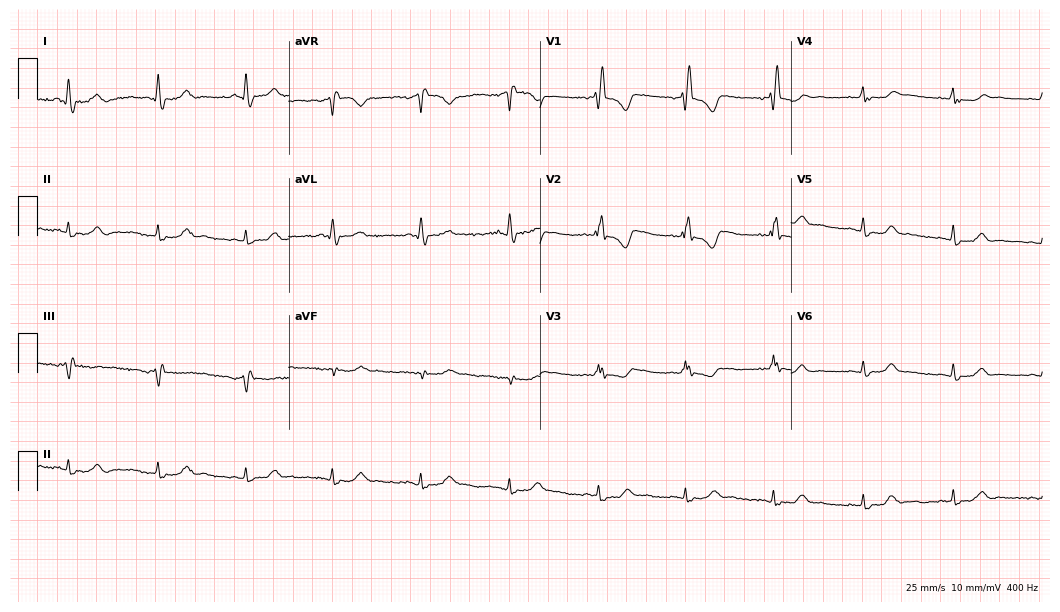
Electrocardiogram (10.2-second recording at 400 Hz), a 56-year-old woman. Interpretation includes right bundle branch block.